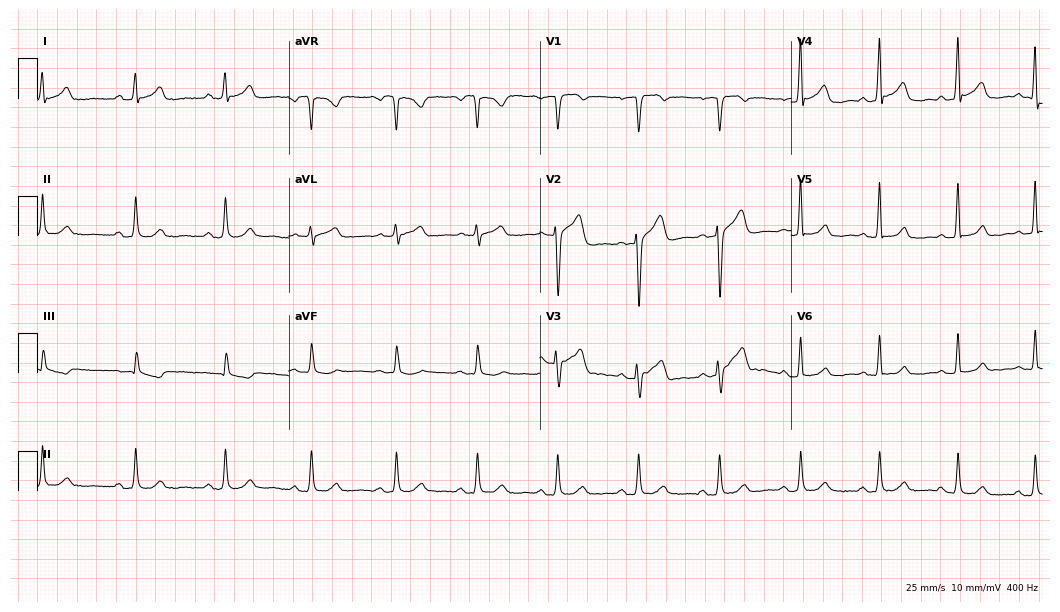
12-lead ECG from a male, 44 years old (10.2-second recording at 400 Hz). Recorded interpretation: within normal limits.